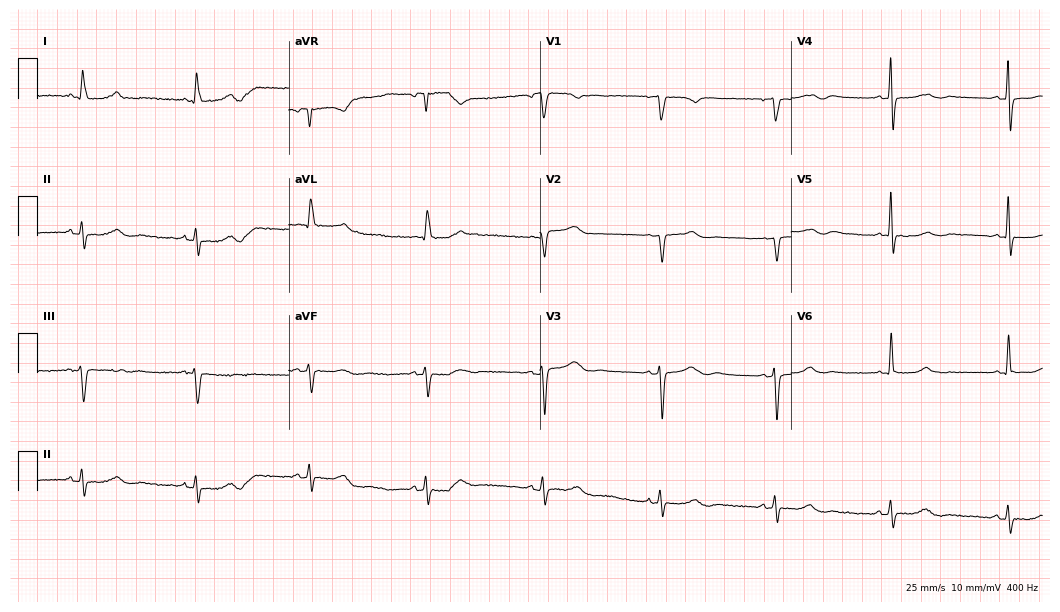
Standard 12-lead ECG recorded from an 81-year-old female (10.2-second recording at 400 Hz). The tracing shows sinus bradycardia (a sinus rate of 50 beats per minute or less).